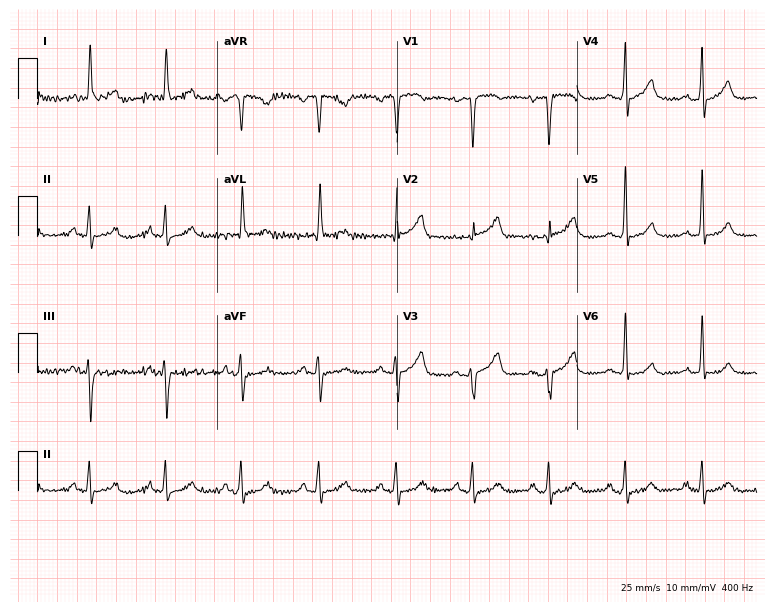
12-lead ECG from a female, 75 years old (7.3-second recording at 400 Hz). Recorded interpretation: within normal limits.